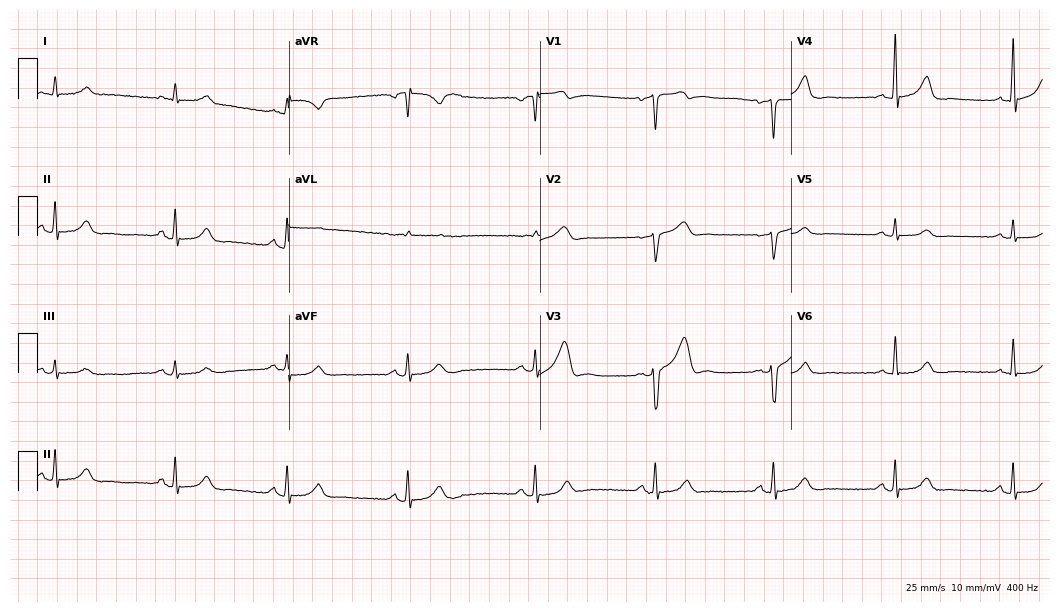
Standard 12-lead ECG recorded from a 59-year-old male patient (10.2-second recording at 400 Hz). None of these six findings is recorded: first-degree AV block, right bundle branch block, left bundle branch block, sinus bradycardia, atrial fibrillation, sinus tachycardia.